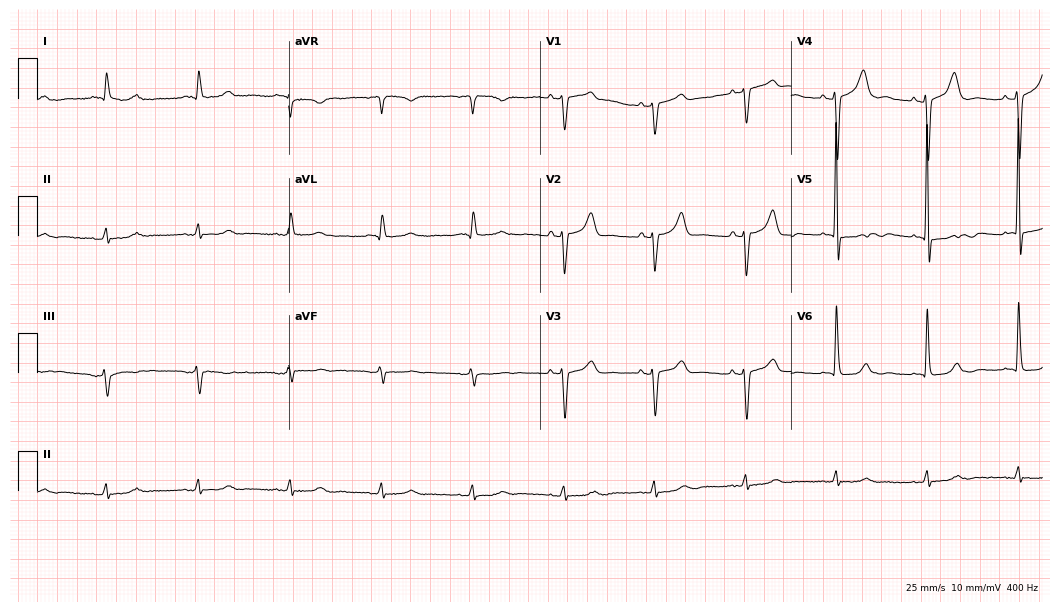
Resting 12-lead electrocardiogram (10.2-second recording at 400 Hz). Patient: a 79-year-old male. None of these six findings is recorded: first-degree AV block, right bundle branch block, left bundle branch block, sinus bradycardia, atrial fibrillation, sinus tachycardia.